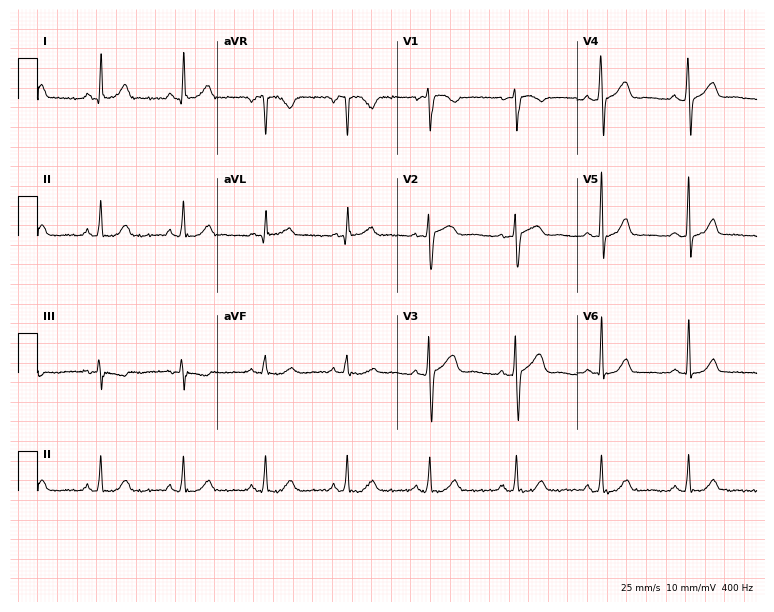
12-lead ECG from a 56-year-old woman. Labelled as a normal ECG.